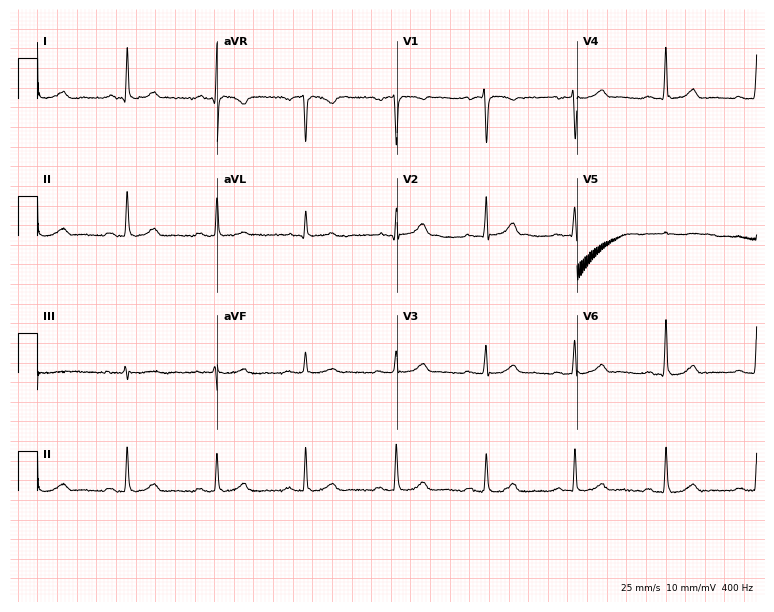
Electrocardiogram (7.3-second recording at 400 Hz), a woman, 72 years old. Of the six screened findings (first-degree AV block, right bundle branch block, left bundle branch block, sinus bradycardia, atrial fibrillation, sinus tachycardia), none is recorded.